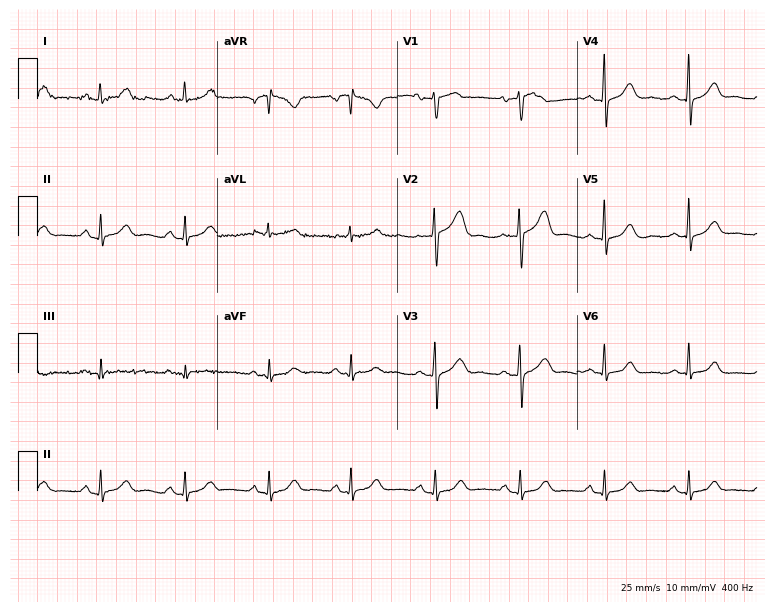
12-lead ECG from a 64-year-old woman. Labelled as a normal ECG.